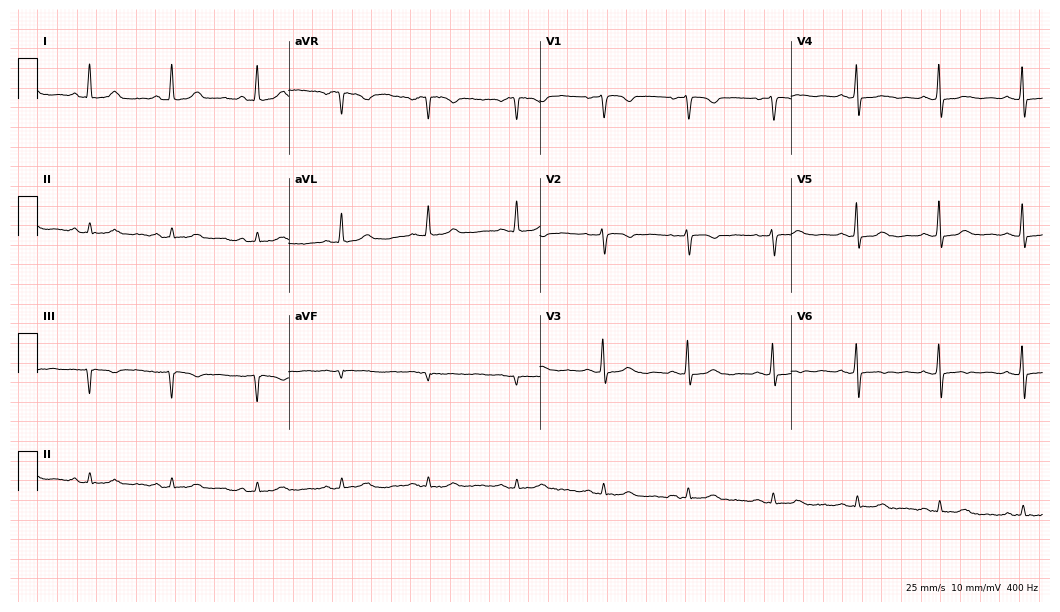
12-lead ECG from a 51-year-old woman. No first-degree AV block, right bundle branch block, left bundle branch block, sinus bradycardia, atrial fibrillation or sinus tachycardia recorded for this tracing. Findings outside these six are not listed.